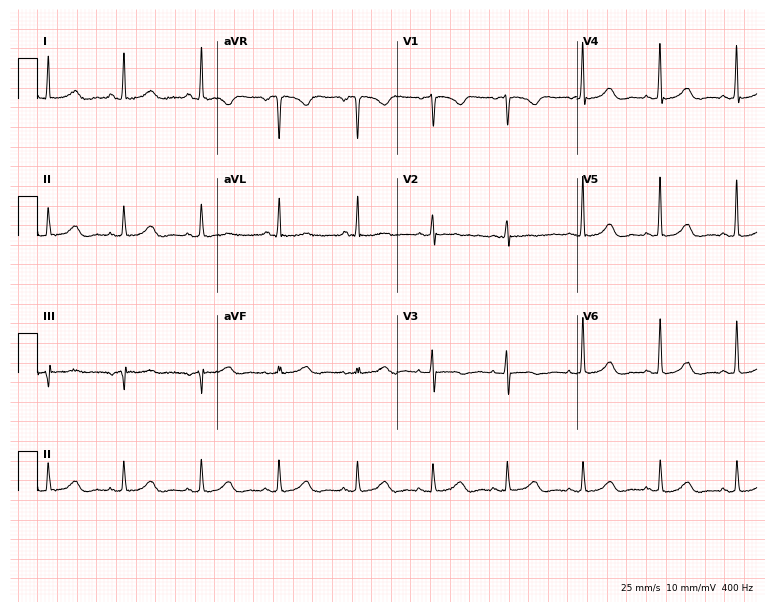
Standard 12-lead ECG recorded from a 60-year-old female. None of these six findings is recorded: first-degree AV block, right bundle branch block, left bundle branch block, sinus bradycardia, atrial fibrillation, sinus tachycardia.